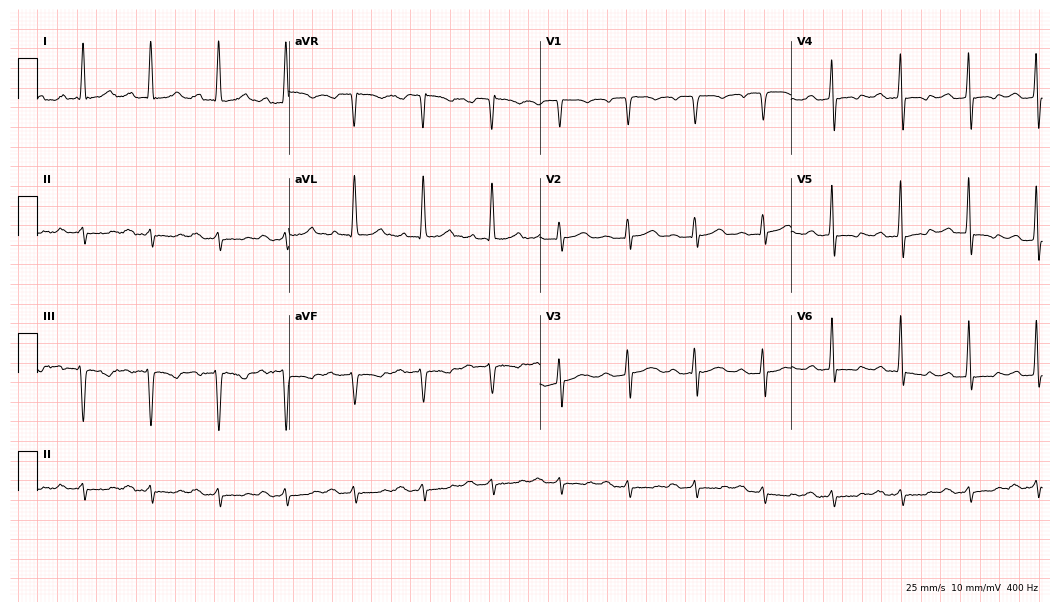
Standard 12-lead ECG recorded from a 79-year-old male patient (10.2-second recording at 400 Hz). The tracing shows first-degree AV block.